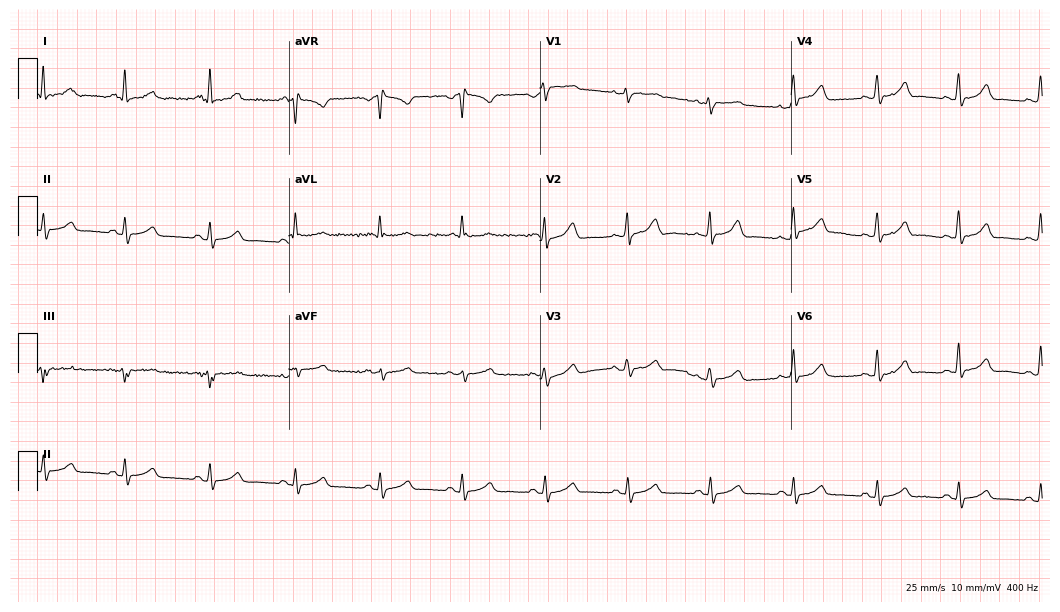
ECG — a woman, 47 years old. Labelled as a normal ECG.